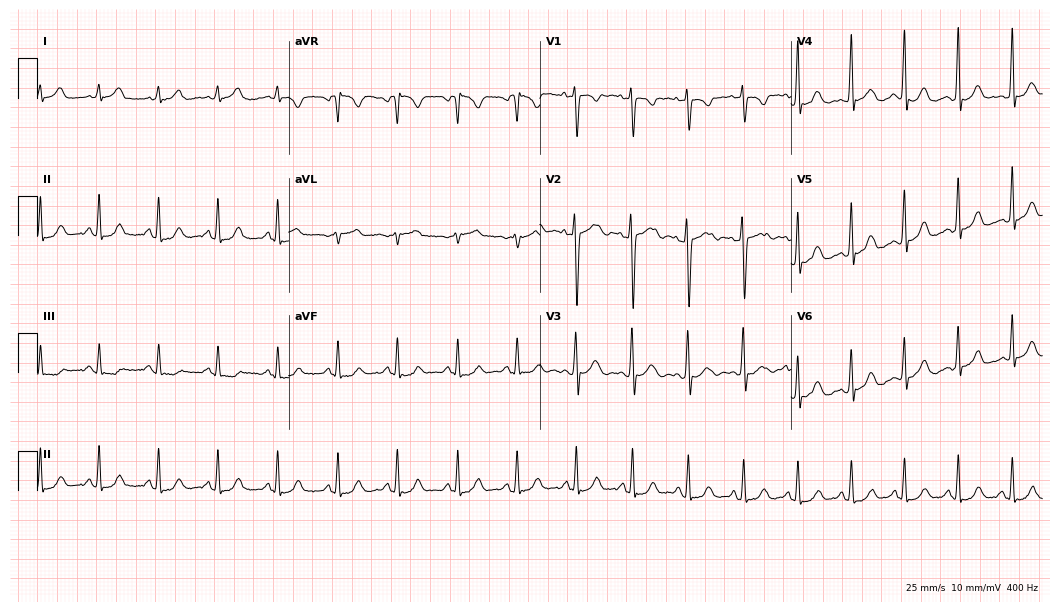
12-lead ECG from a woman, 20 years old. Findings include sinus tachycardia (a sinus rate of 100 beats per minute or more).